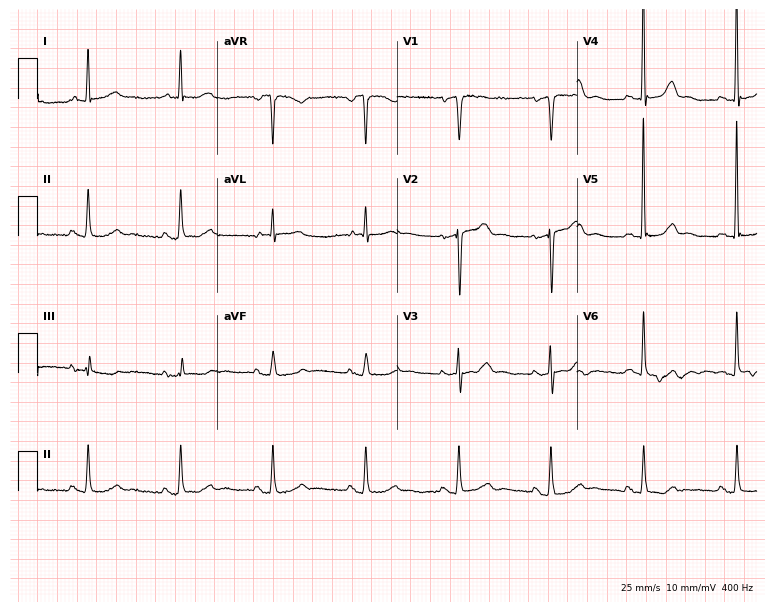
12-lead ECG from a female, 83 years old (7.3-second recording at 400 Hz). Recorded interpretation: within normal limits.